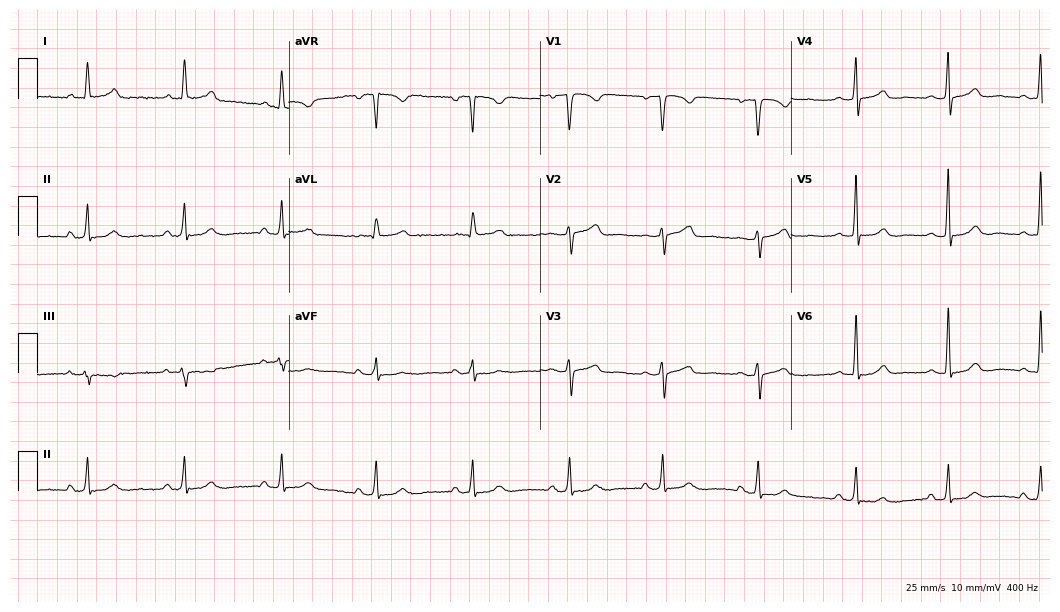
12-lead ECG from a female patient, 58 years old. Recorded interpretation: within normal limits.